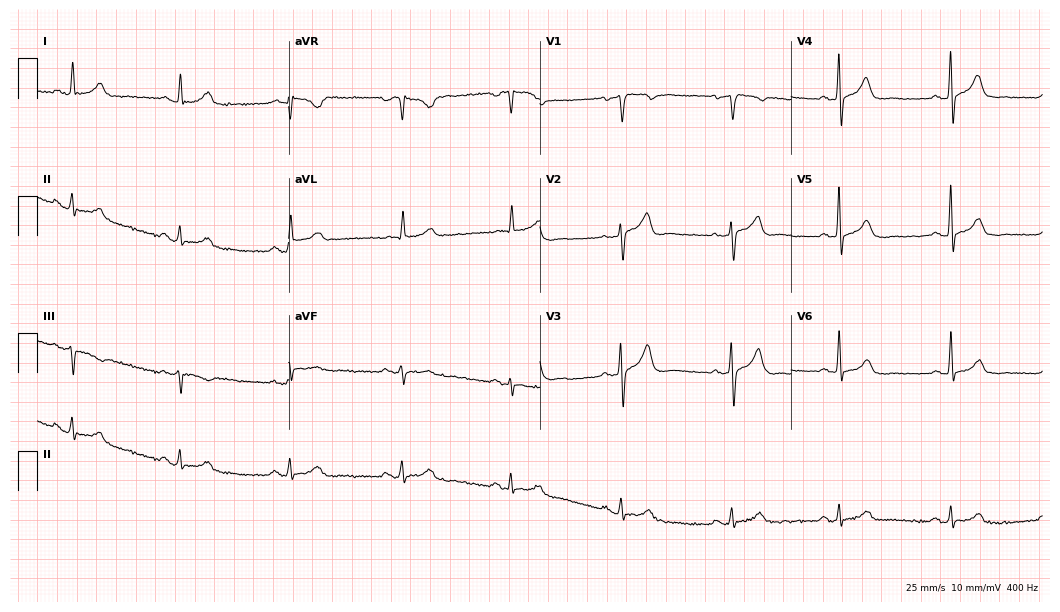
Electrocardiogram (10.2-second recording at 400 Hz), a female, 61 years old. Overall reading on record: normal ECG.